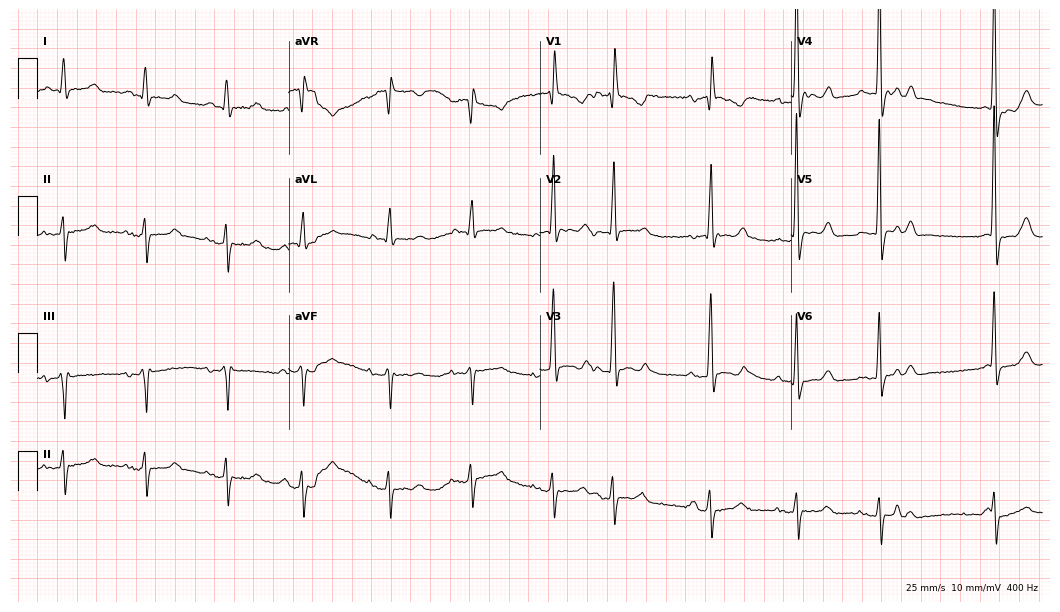
Standard 12-lead ECG recorded from a male, 84 years old. None of these six findings is recorded: first-degree AV block, right bundle branch block (RBBB), left bundle branch block (LBBB), sinus bradycardia, atrial fibrillation (AF), sinus tachycardia.